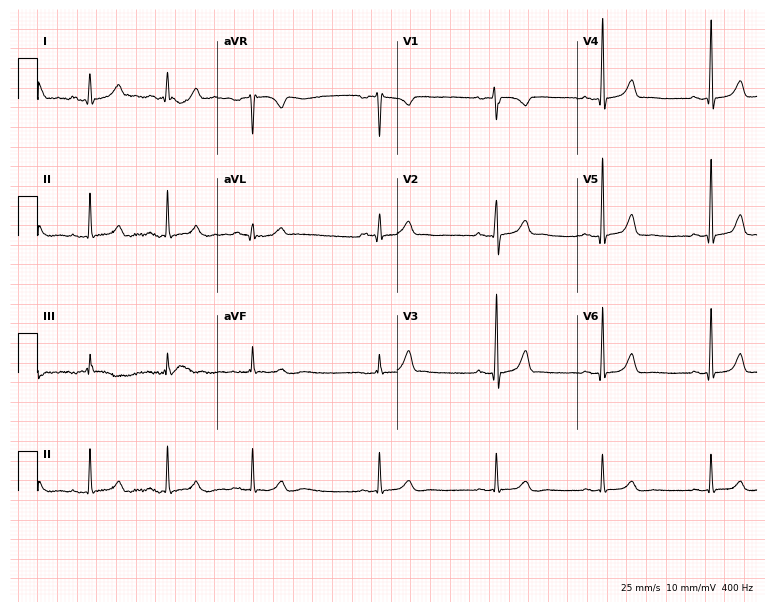
Standard 12-lead ECG recorded from a 27-year-old female patient (7.3-second recording at 400 Hz). None of these six findings is recorded: first-degree AV block, right bundle branch block, left bundle branch block, sinus bradycardia, atrial fibrillation, sinus tachycardia.